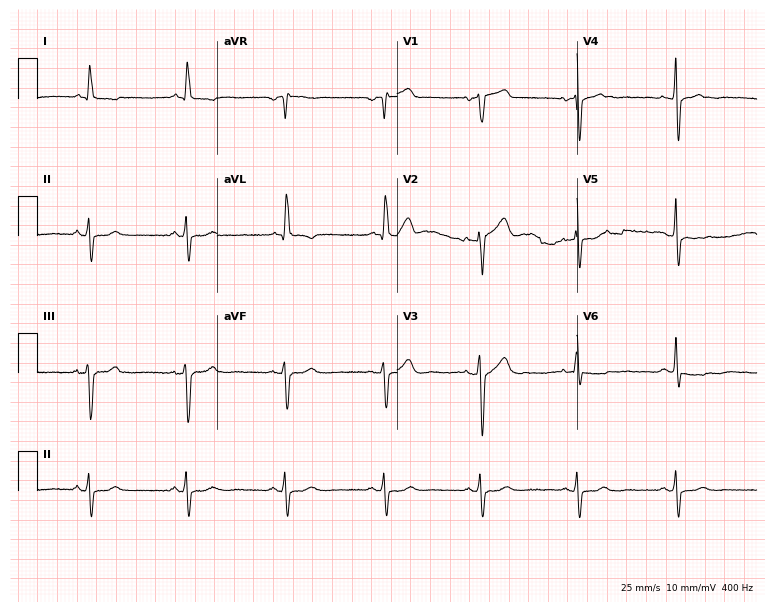
12-lead ECG from a male patient, 53 years old. No first-degree AV block, right bundle branch block, left bundle branch block, sinus bradycardia, atrial fibrillation or sinus tachycardia recorded for this tracing.